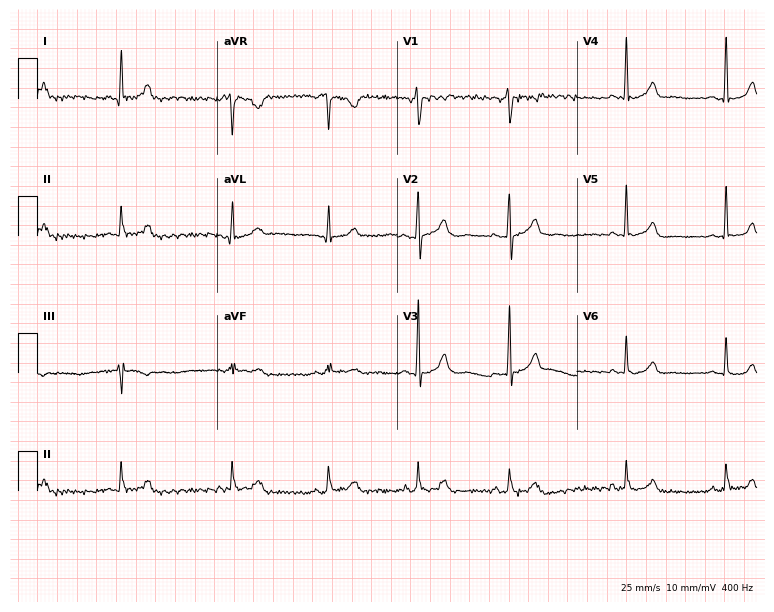
Electrocardiogram, a female patient, 27 years old. Of the six screened findings (first-degree AV block, right bundle branch block, left bundle branch block, sinus bradycardia, atrial fibrillation, sinus tachycardia), none is recorded. Only these six findings were labelled.